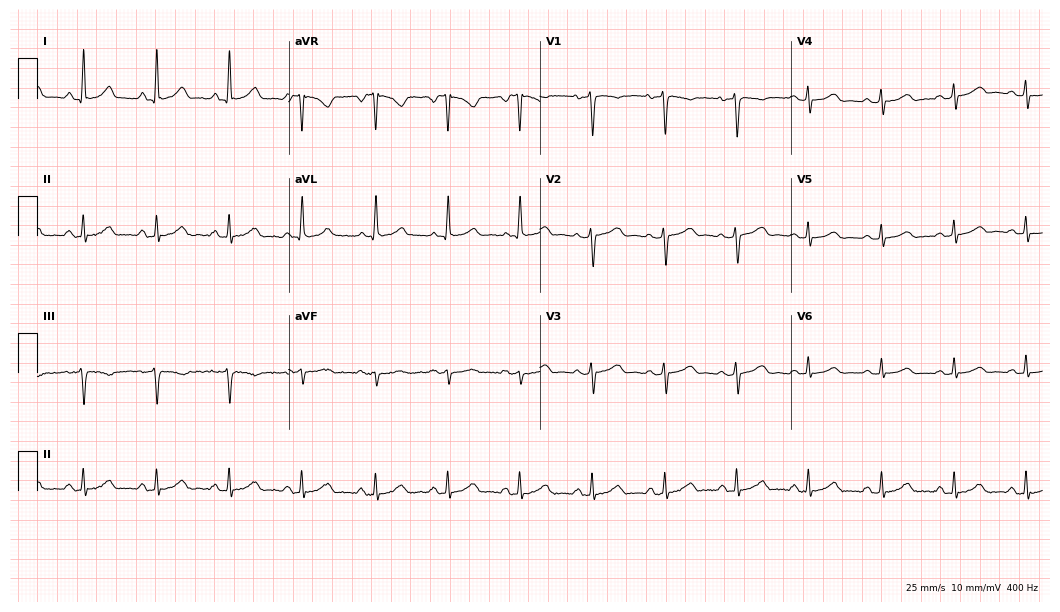
Resting 12-lead electrocardiogram (10.2-second recording at 400 Hz). Patient: a female, 37 years old. None of these six findings is recorded: first-degree AV block, right bundle branch block, left bundle branch block, sinus bradycardia, atrial fibrillation, sinus tachycardia. Other findings, if any, are not listed.